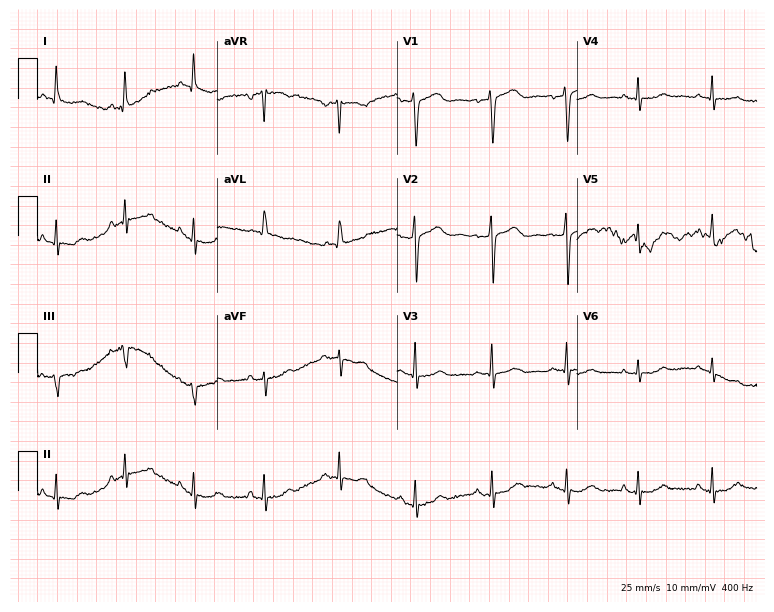
12-lead ECG from a 54-year-old woman (7.3-second recording at 400 Hz). Recorded interpretation: within normal limits.